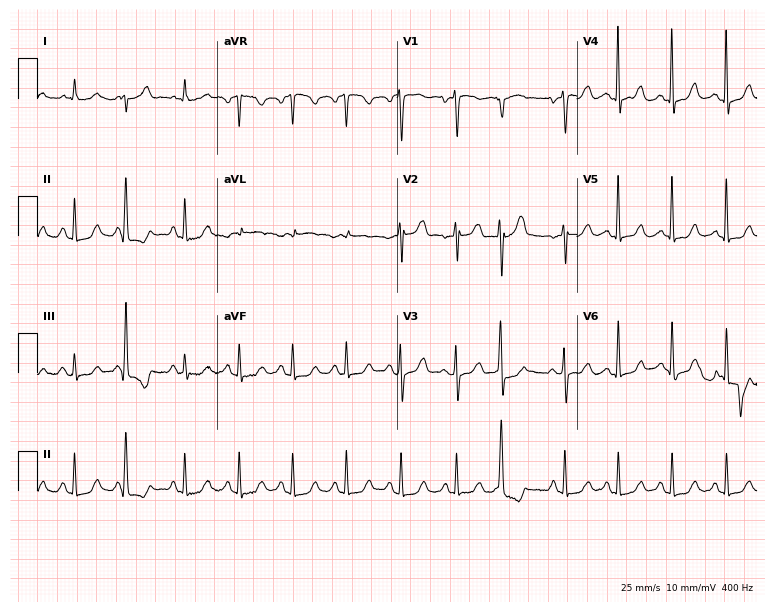
12-lead ECG from a woman, 74 years old. Findings include sinus tachycardia (a sinus rate of 100 beats per minute or more).